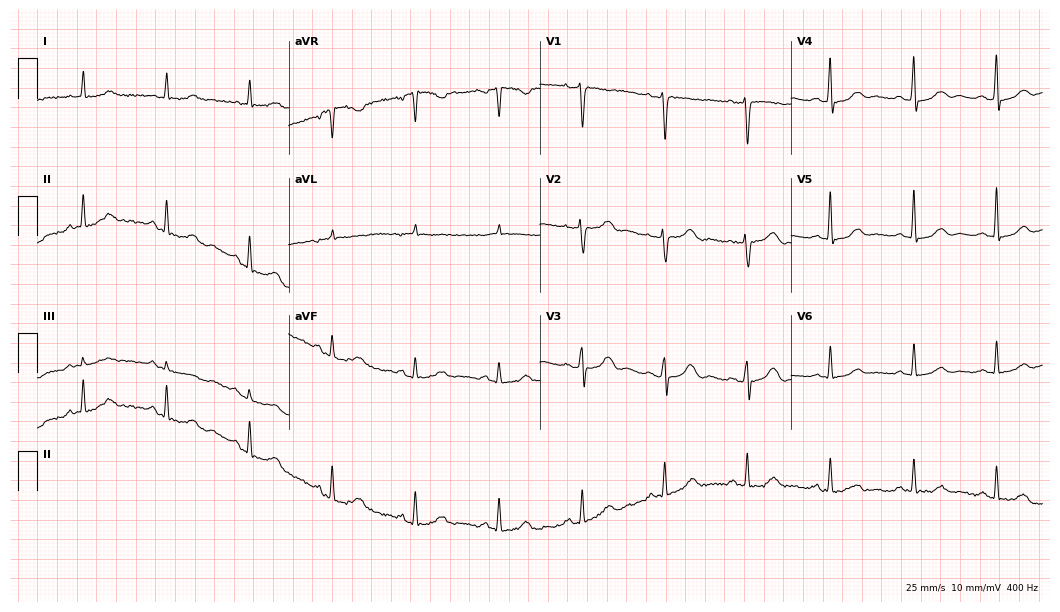
Electrocardiogram, a female patient, 69 years old. Overall reading on record: normal ECG.